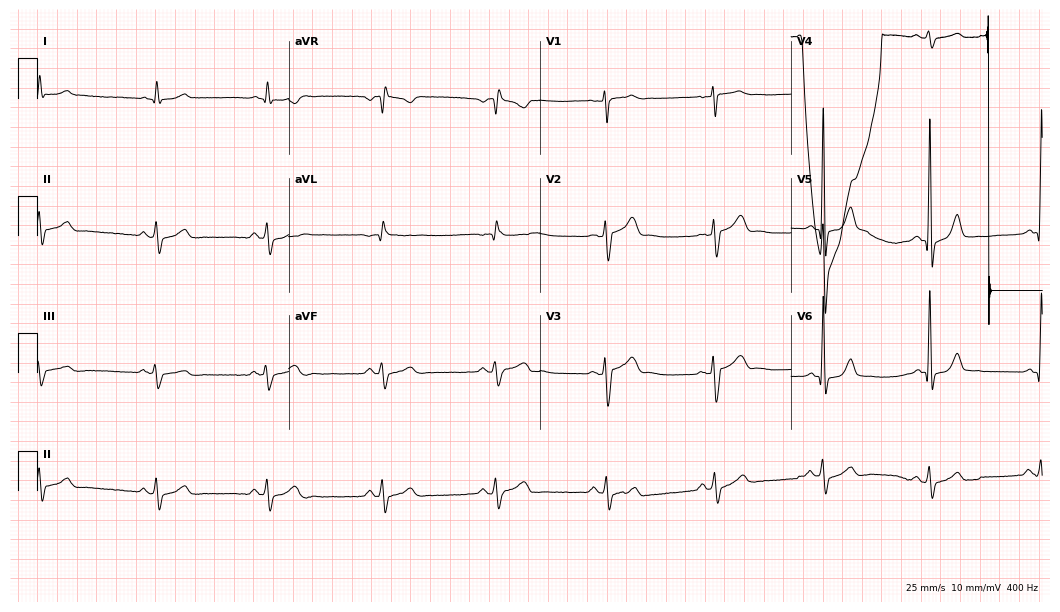
ECG — a man, 51 years old. Screened for six findings — first-degree AV block, right bundle branch block (RBBB), left bundle branch block (LBBB), sinus bradycardia, atrial fibrillation (AF), sinus tachycardia — none is recorded. Other findings, if any, are not listed.